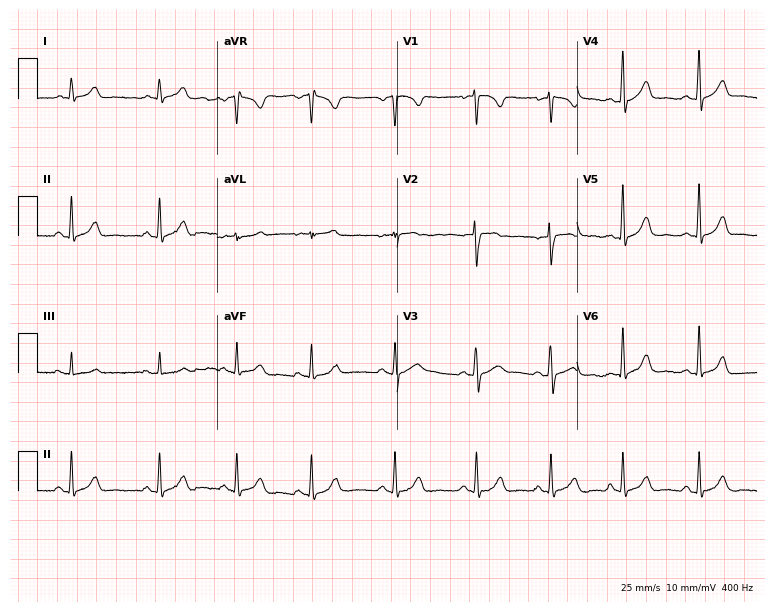
Resting 12-lead electrocardiogram (7.3-second recording at 400 Hz). Patient: a 22-year-old female. Read as a normal ECG.